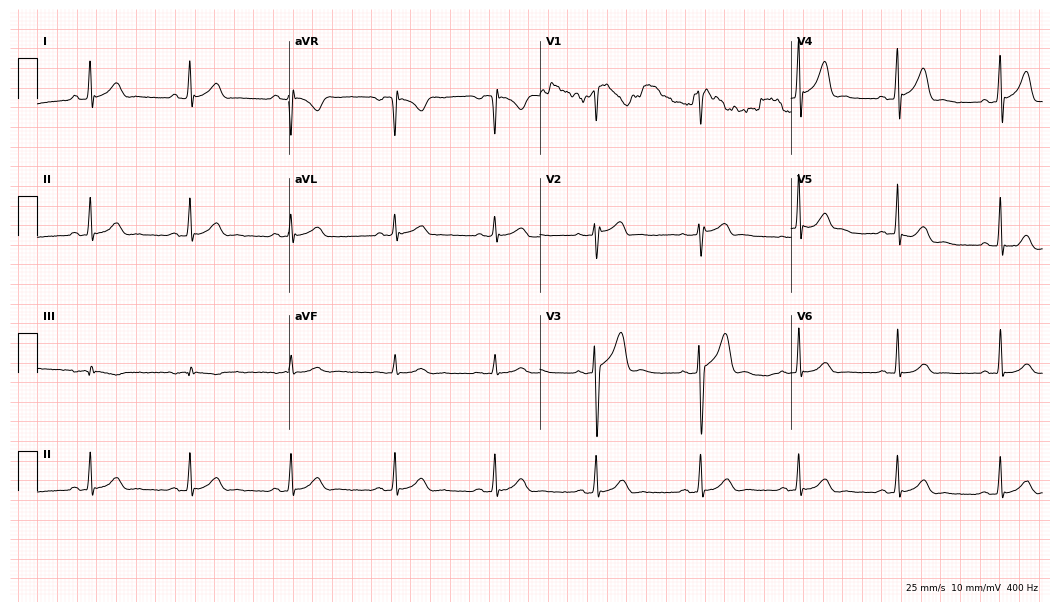
Electrocardiogram, a male patient, 32 years old. Overall reading on record: normal ECG.